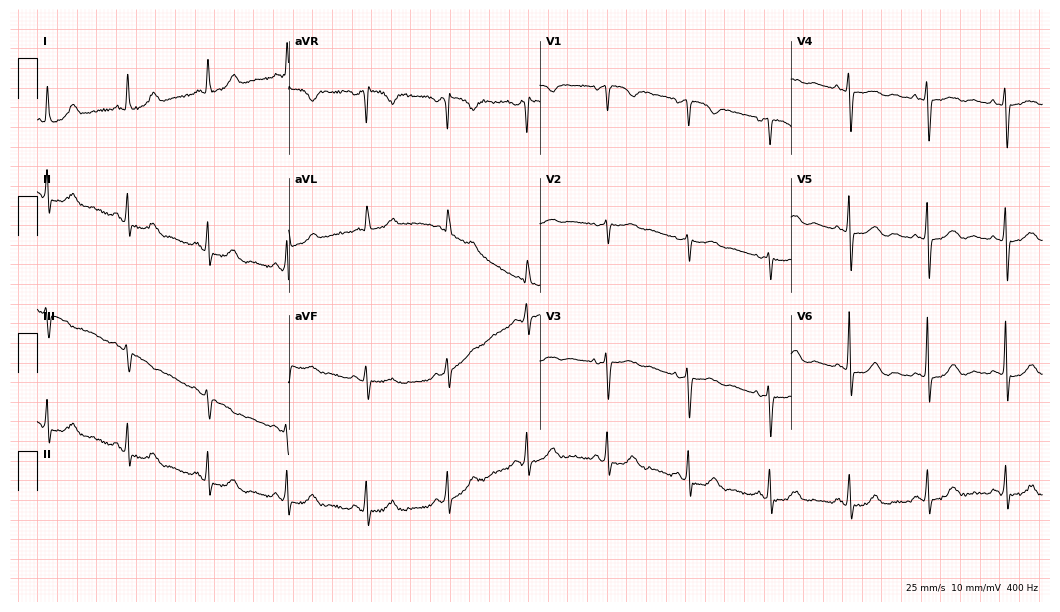
12-lead ECG (10.2-second recording at 400 Hz) from a 58-year-old female. Screened for six findings — first-degree AV block, right bundle branch block, left bundle branch block, sinus bradycardia, atrial fibrillation, sinus tachycardia — none is recorded. Other findings, if any, are not listed.